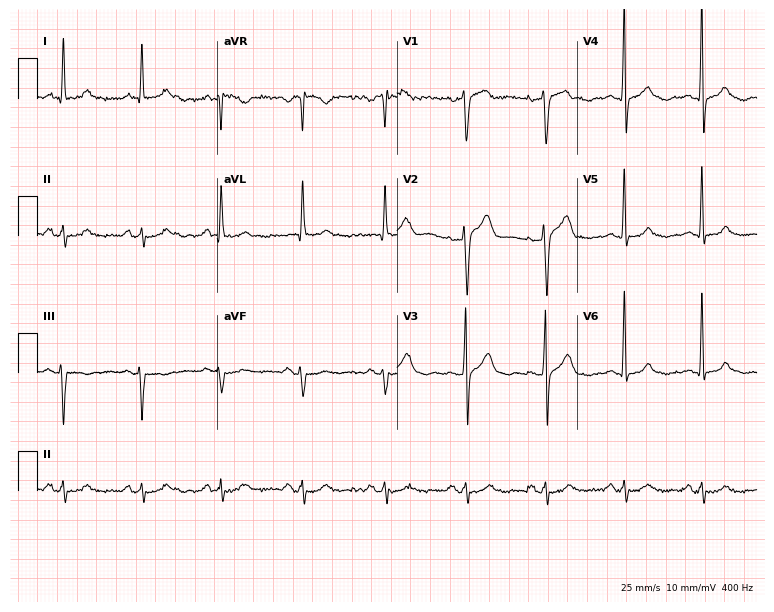
12-lead ECG from a male patient, 54 years old. No first-degree AV block, right bundle branch block (RBBB), left bundle branch block (LBBB), sinus bradycardia, atrial fibrillation (AF) or sinus tachycardia recorded for this tracing.